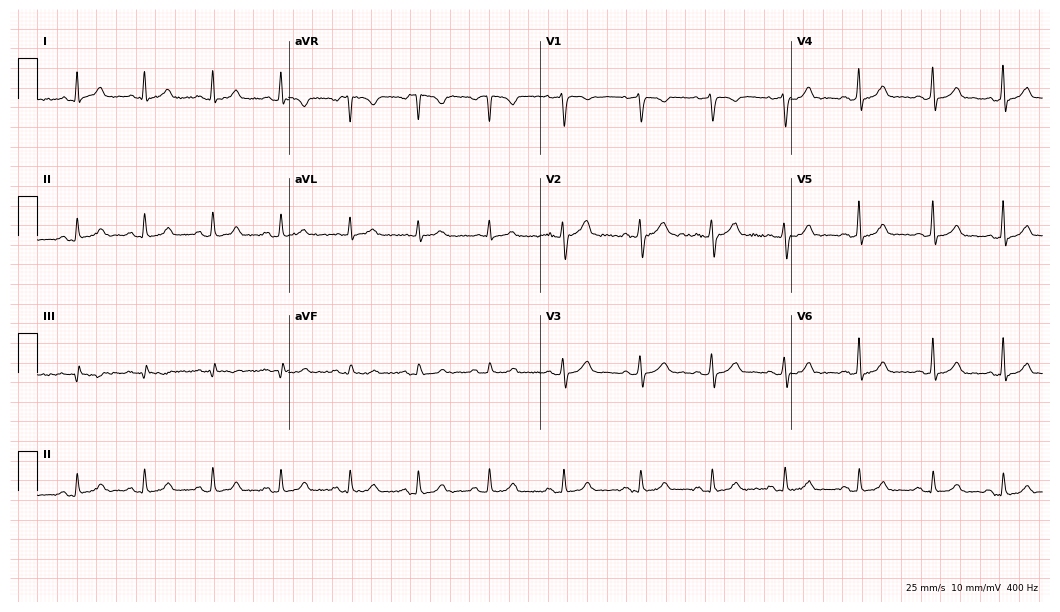
12-lead ECG from a female, 38 years old (10.2-second recording at 400 Hz). Recorded interpretation: within normal limits.